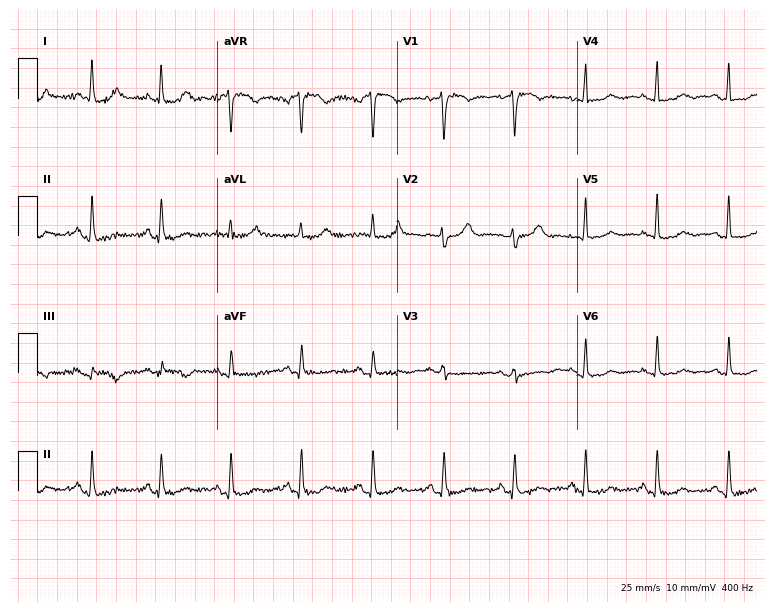
ECG (7.3-second recording at 400 Hz) — a 55-year-old female. Screened for six findings — first-degree AV block, right bundle branch block, left bundle branch block, sinus bradycardia, atrial fibrillation, sinus tachycardia — none is recorded. Only these six findings were labelled.